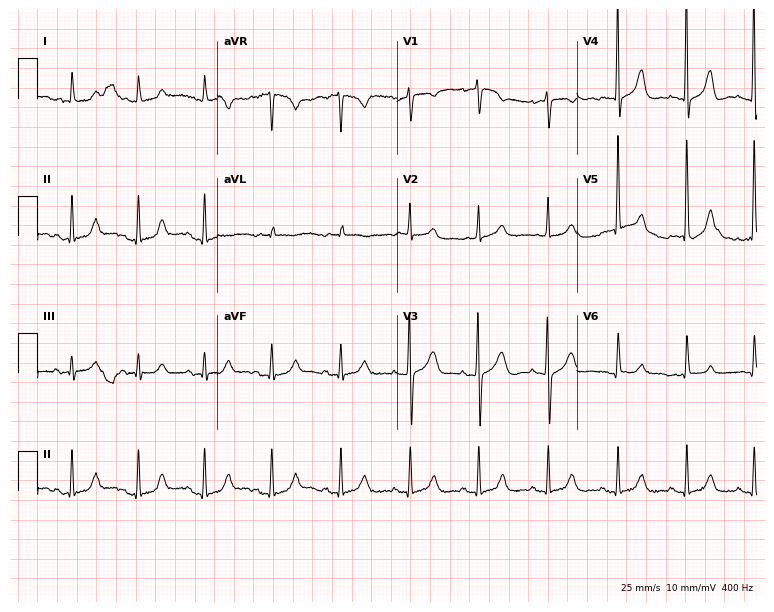
12-lead ECG from a female, 78 years old. Recorded interpretation: within normal limits.